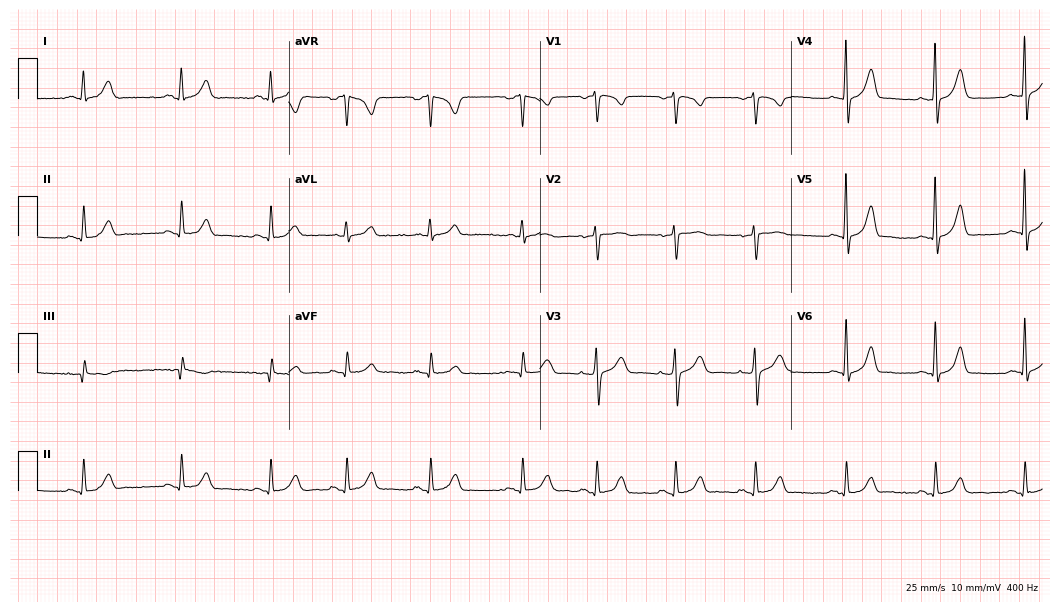
12-lead ECG from a 33-year-old female. Recorded interpretation: within normal limits.